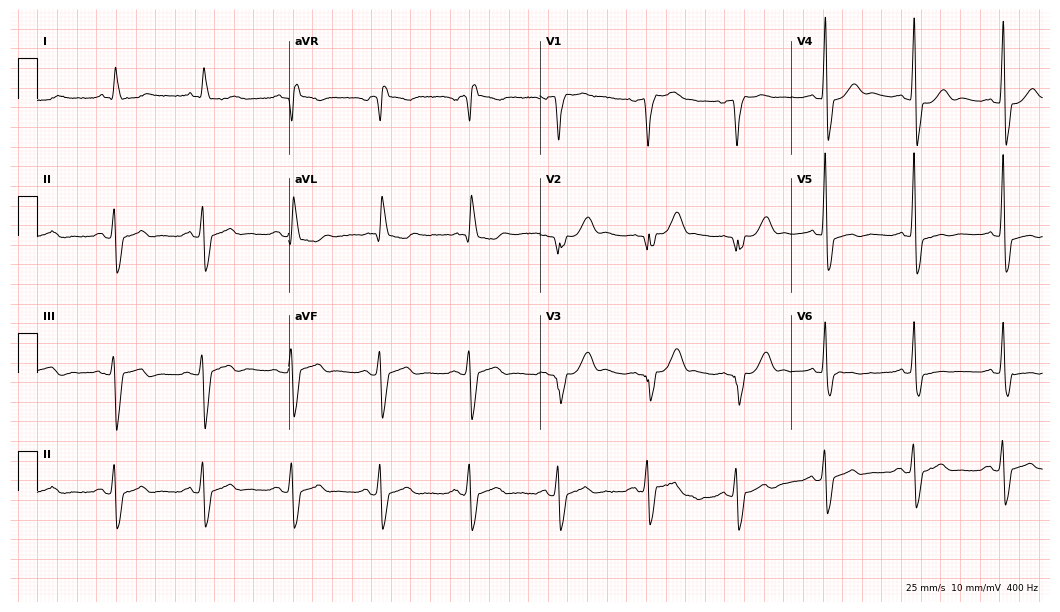
12-lead ECG from a man, 88 years old. Findings include left bundle branch block.